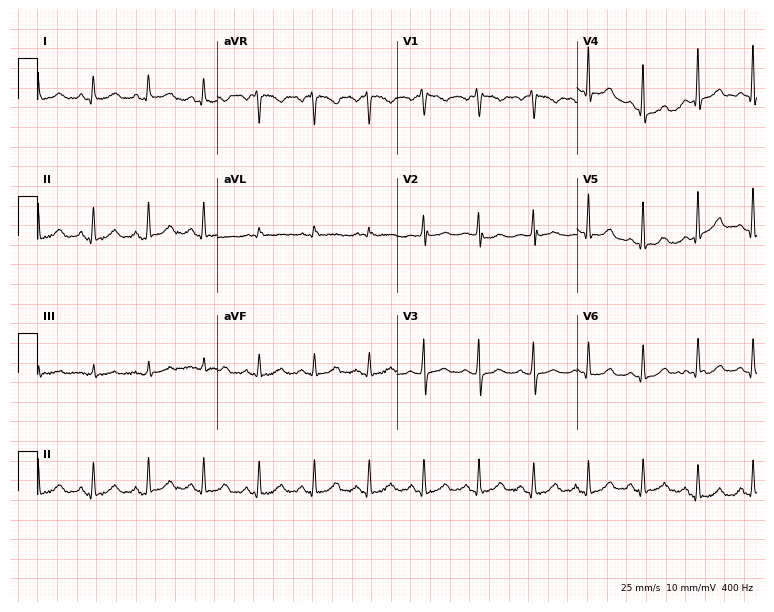
Resting 12-lead electrocardiogram. Patient: a female, 47 years old. The tracing shows sinus tachycardia (a sinus rate of 100 beats per minute or more).